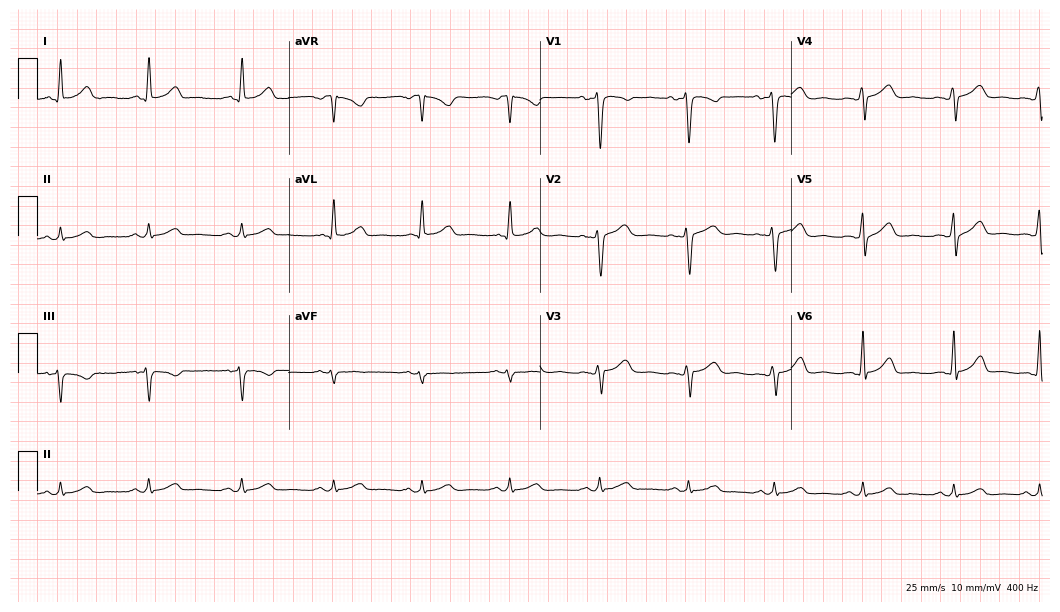
ECG (10.2-second recording at 400 Hz) — a woman, 44 years old. Labelled as a normal ECG.